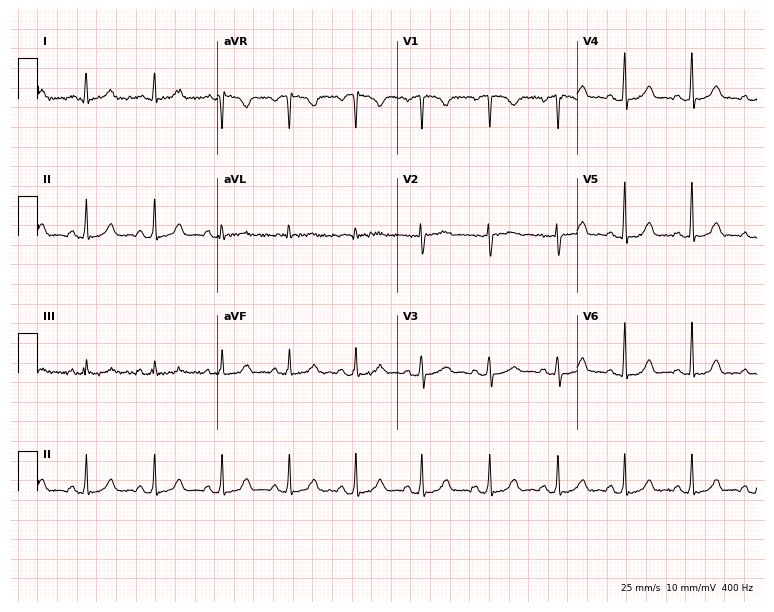
Standard 12-lead ECG recorded from a 31-year-old woman (7.3-second recording at 400 Hz). Read as a normal ECG.